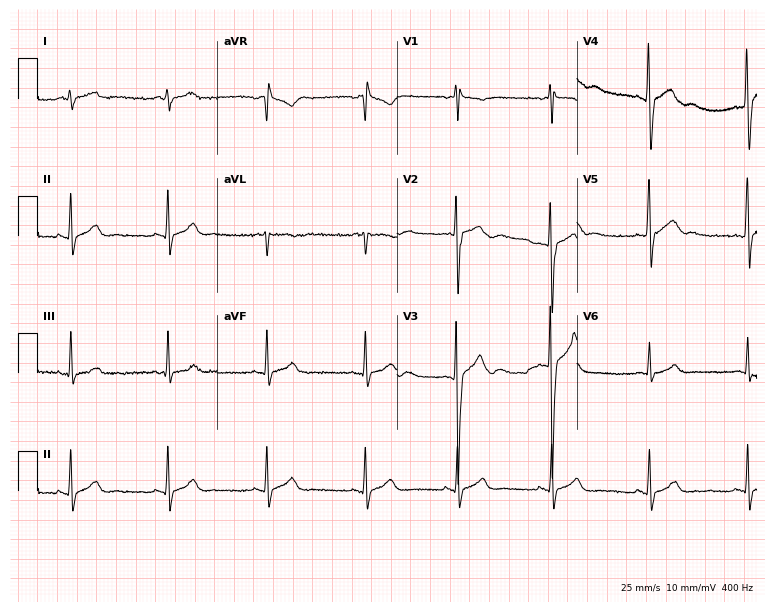
Standard 12-lead ECG recorded from an 18-year-old male patient (7.3-second recording at 400 Hz). None of these six findings is recorded: first-degree AV block, right bundle branch block, left bundle branch block, sinus bradycardia, atrial fibrillation, sinus tachycardia. Other findings, if any, are not listed.